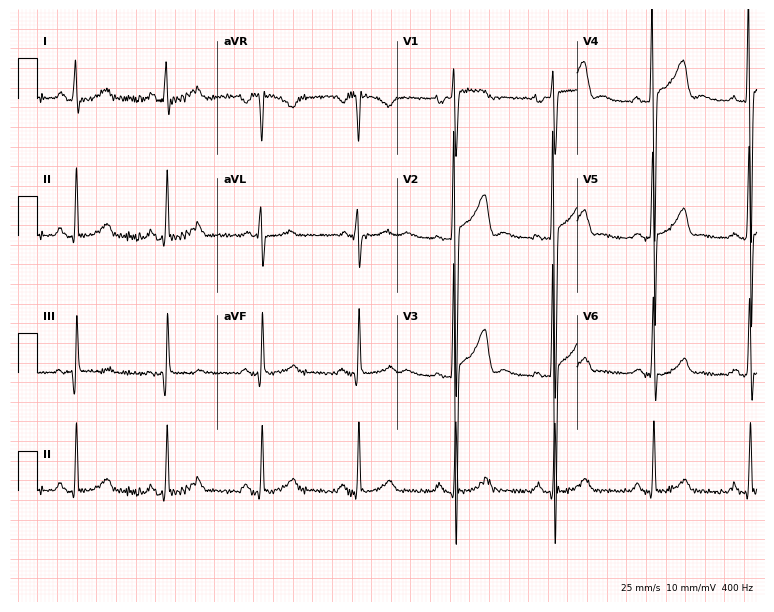
12-lead ECG (7.3-second recording at 400 Hz) from a 35-year-old man. Screened for six findings — first-degree AV block, right bundle branch block, left bundle branch block, sinus bradycardia, atrial fibrillation, sinus tachycardia — none is recorded.